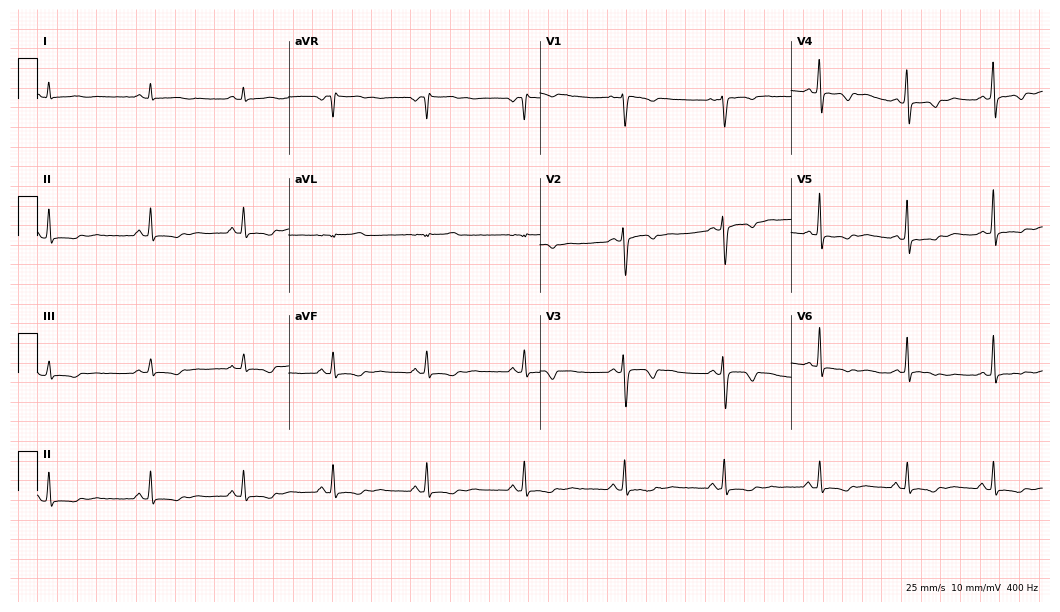
Resting 12-lead electrocardiogram. Patient: a female, 32 years old. None of these six findings is recorded: first-degree AV block, right bundle branch block, left bundle branch block, sinus bradycardia, atrial fibrillation, sinus tachycardia. Other findings, if any, are not listed.